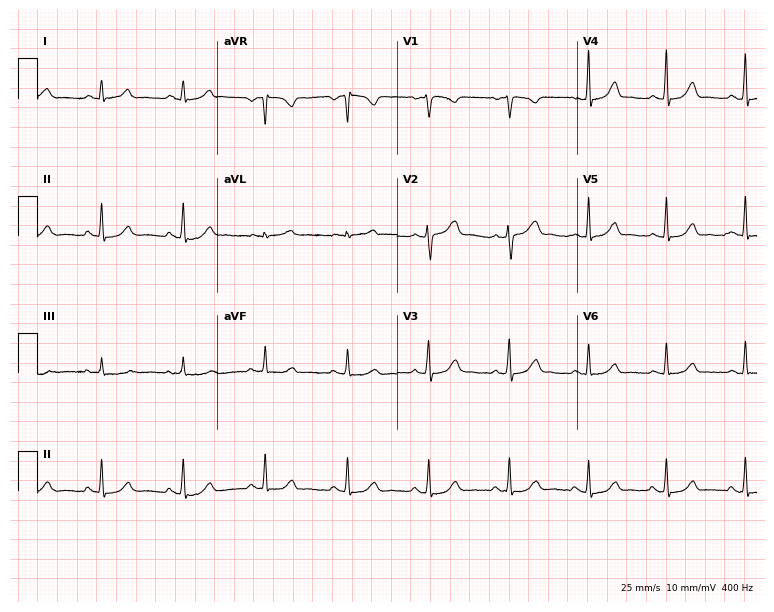
Standard 12-lead ECG recorded from a female patient, 29 years old (7.3-second recording at 400 Hz). Read as a normal ECG.